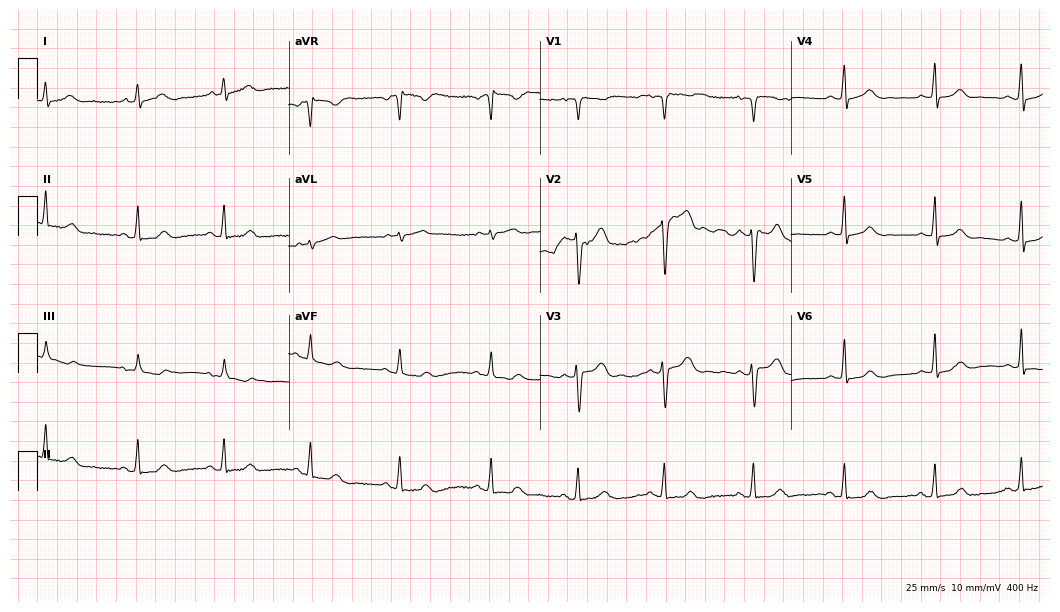
12-lead ECG from a female patient, 34 years old. Labelled as a normal ECG.